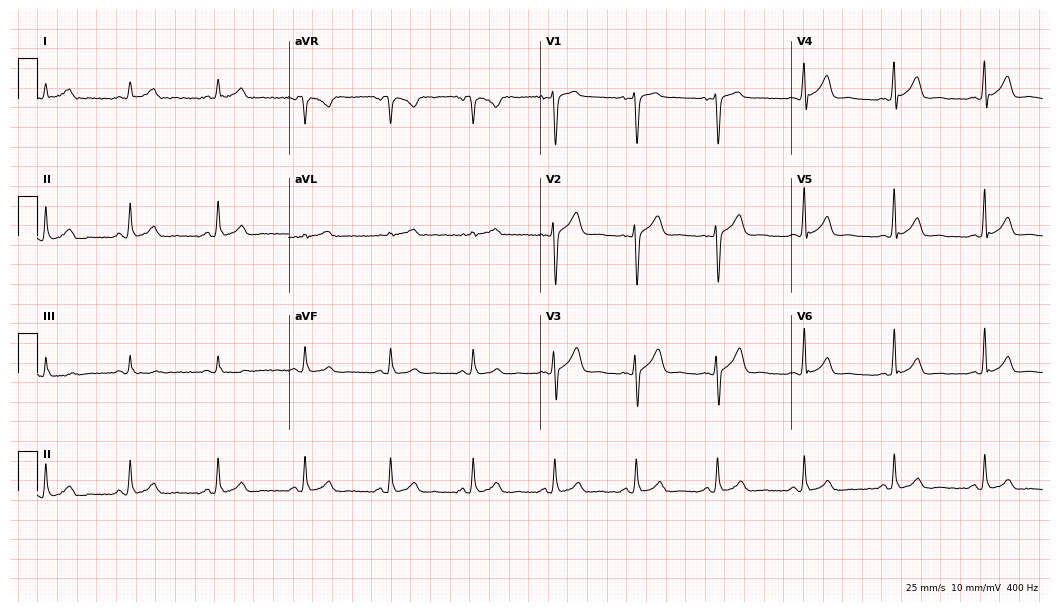
Electrocardiogram (10.2-second recording at 400 Hz), a 29-year-old man. Of the six screened findings (first-degree AV block, right bundle branch block, left bundle branch block, sinus bradycardia, atrial fibrillation, sinus tachycardia), none is recorded.